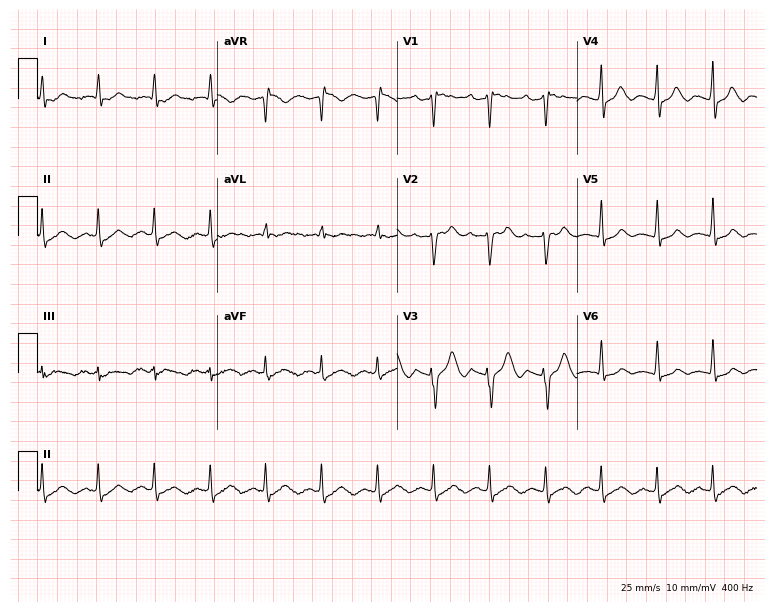
12-lead ECG from a female patient, 76 years old. Findings include sinus tachycardia (a sinus rate of 100 beats per minute or more).